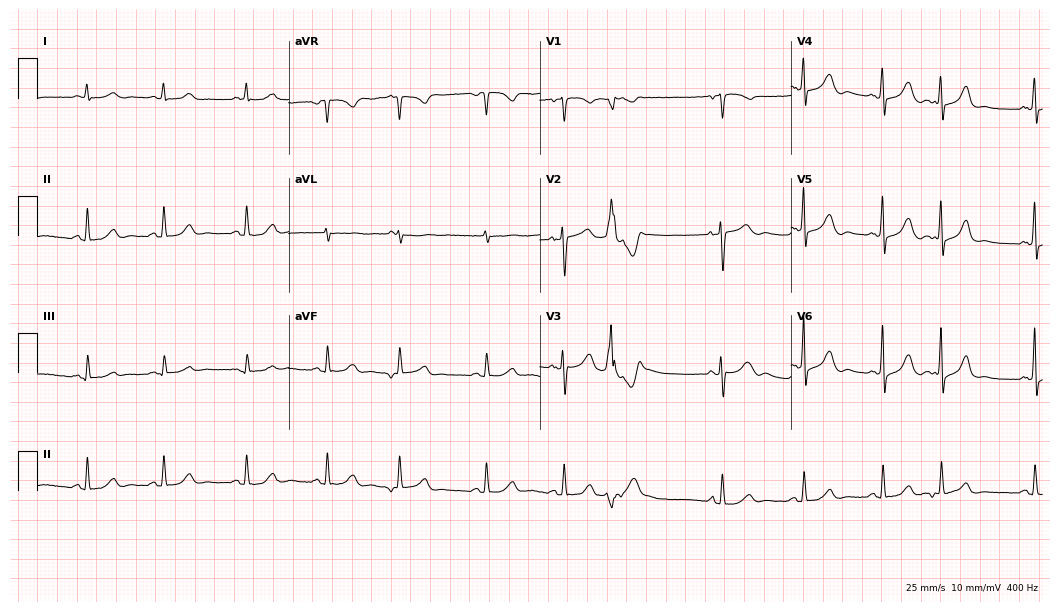
12-lead ECG from an 83-year-old female patient (10.2-second recording at 400 Hz). No first-degree AV block, right bundle branch block (RBBB), left bundle branch block (LBBB), sinus bradycardia, atrial fibrillation (AF) or sinus tachycardia recorded for this tracing. Other findings, if any, are not listed.